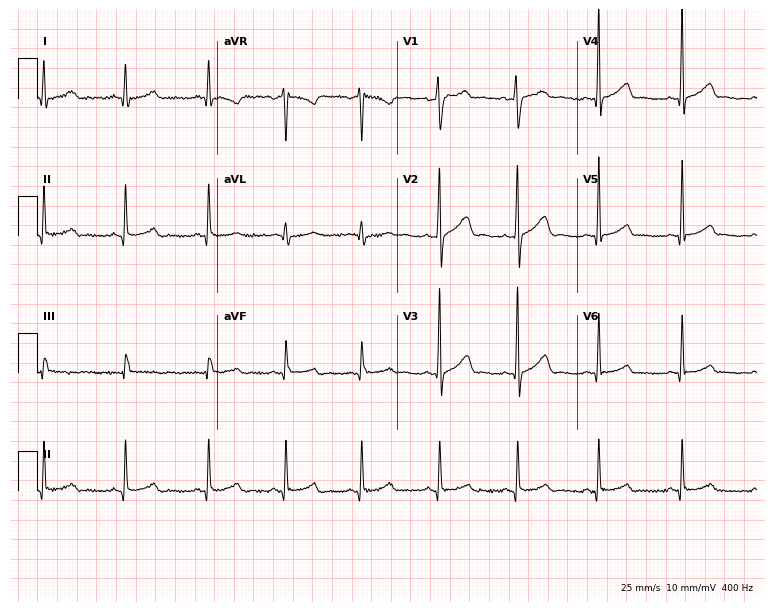
Standard 12-lead ECG recorded from a female patient, 18 years old (7.3-second recording at 400 Hz). None of these six findings is recorded: first-degree AV block, right bundle branch block, left bundle branch block, sinus bradycardia, atrial fibrillation, sinus tachycardia.